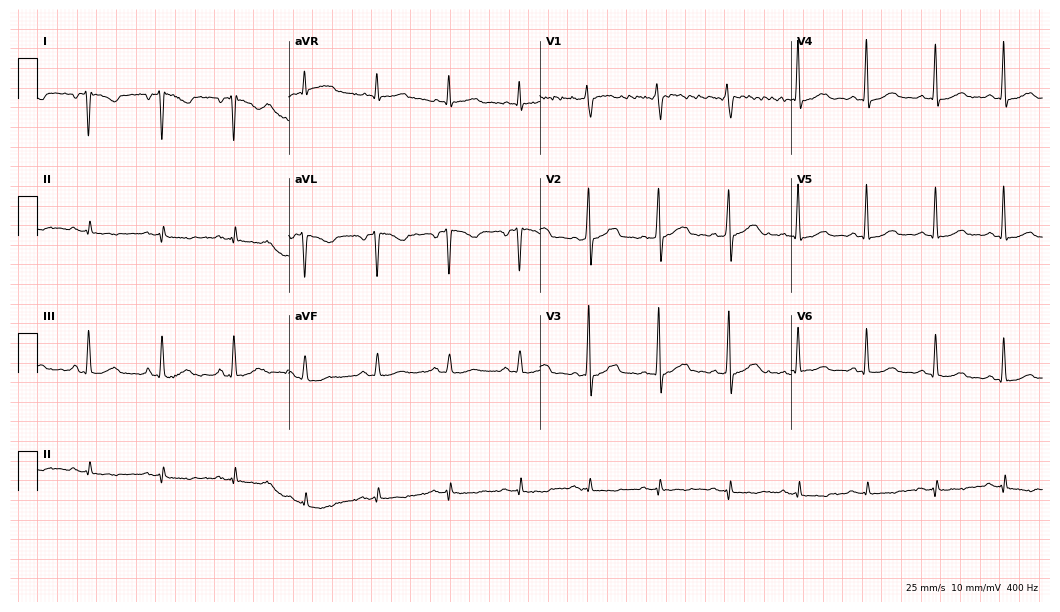
Standard 12-lead ECG recorded from a 36-year-old woman (10.2-second recording at 400 Hz). None of these six findings is recorded: first-degree AV block, right bundle branch block, left bundle branch block, sinus bradycardia, atrial fibrillation, sinus tachycardia.